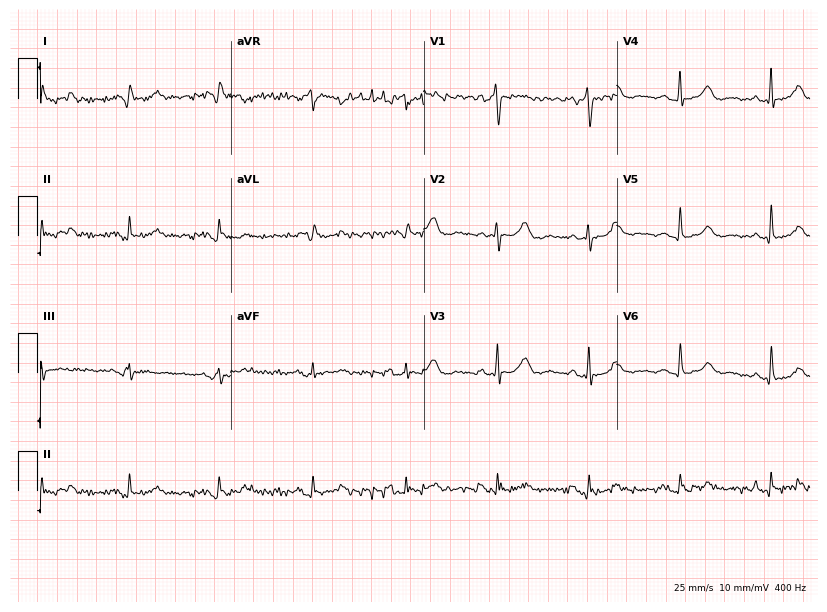
Resting 12-lead electrocardiogram (7.9-second recording at 400 Hz). Patient: a 76-year-old woman. None of these six findings is recorded: first-degree AV block, right bundle branch block, left bundle branch block, sinus bradycardia, atrial fibrillation, sinus tachycardia.